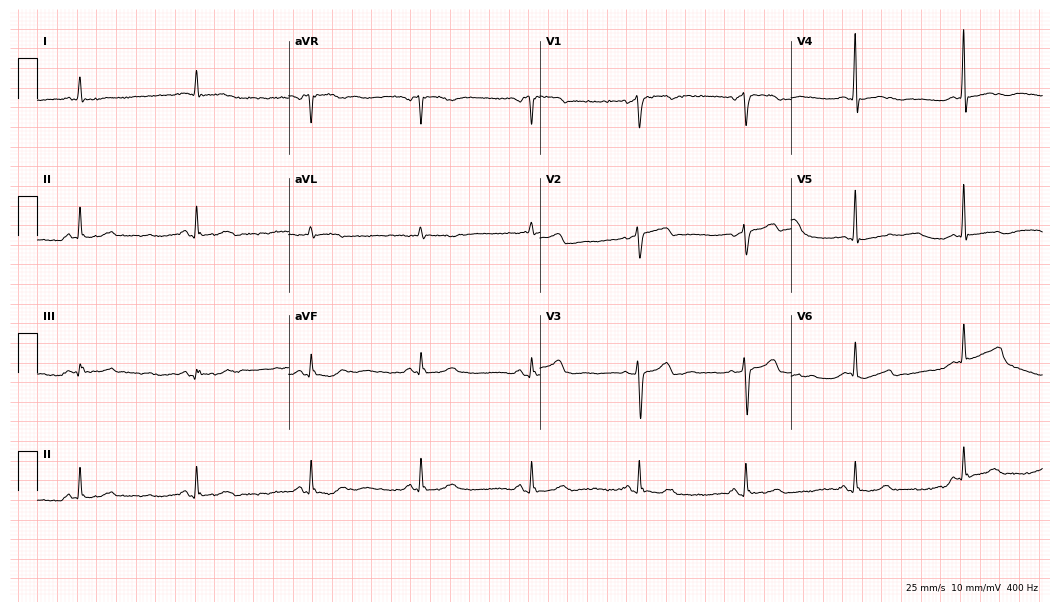
Electrocardiogram, a 68-year-old woman. Overall reading on record: normal ECG.